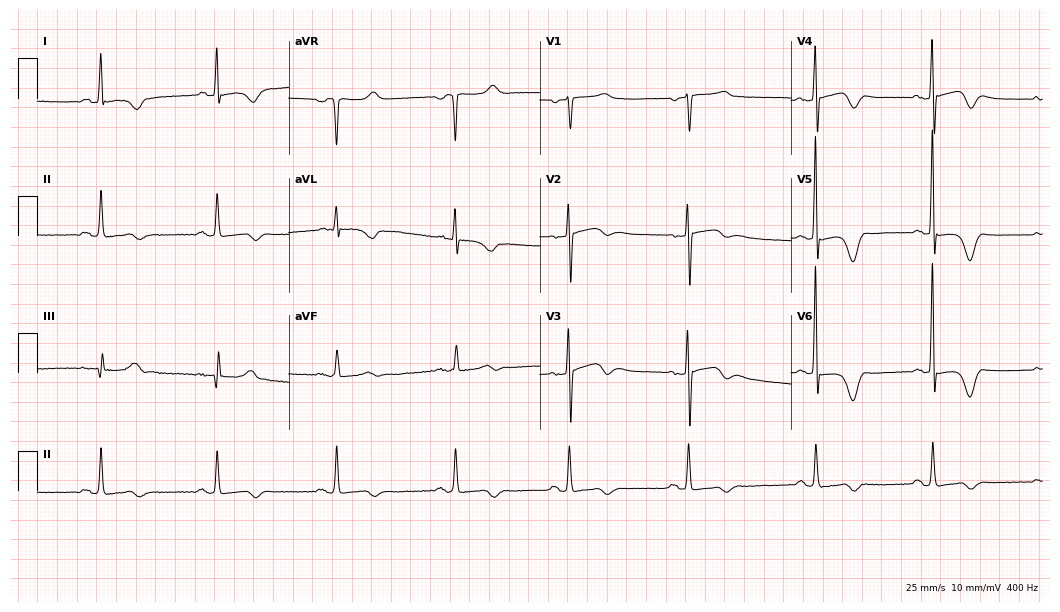
Standard 12-lead ECG recorded from a woman, 81 years old. None of these six findings is recorded: first-degree AV block, right bundle branch block, left bundle branch block, sinus bradycardia, atrial fibrillation, sinus tachycardia.